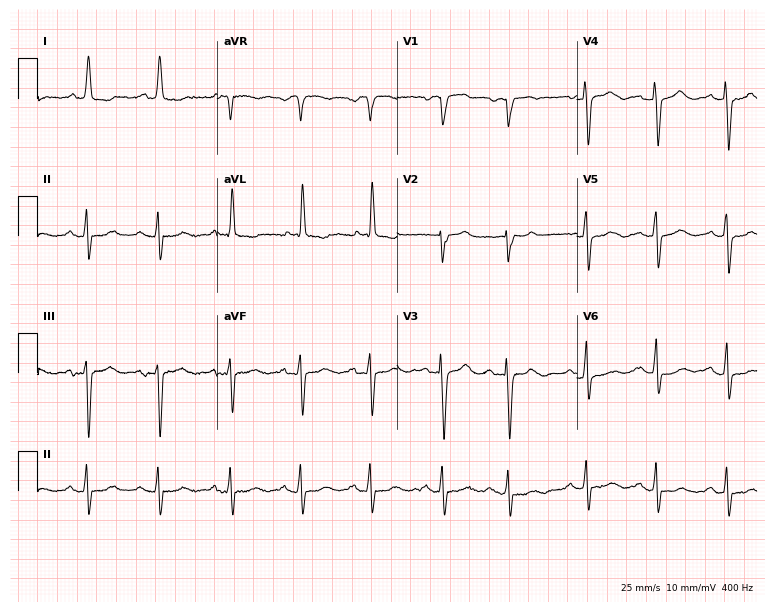
12-lead ECG from a woman, 82 years old. Screened for six findings — first-degree AV block, right bundle branch block, left bundle branch block, sinus bradycardia, atrial fibrillation, sinus tachycardia — none is recorded. Findings outside these six are not listed.